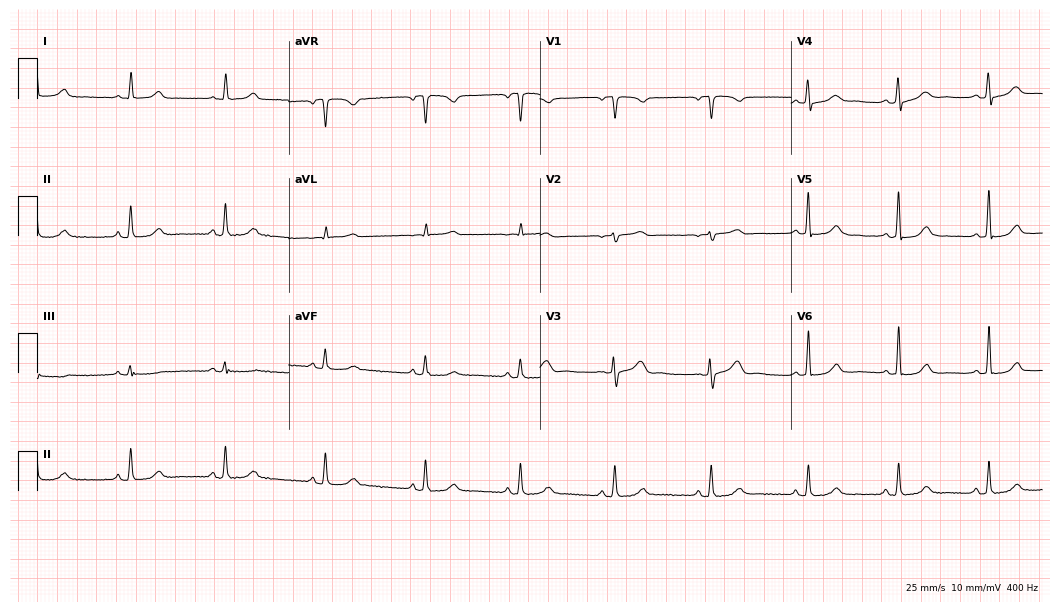
12-lead ECG from a 52-year-old female (10.2-second recording at 400 Hz). Recorded interpretation: within normal limits.